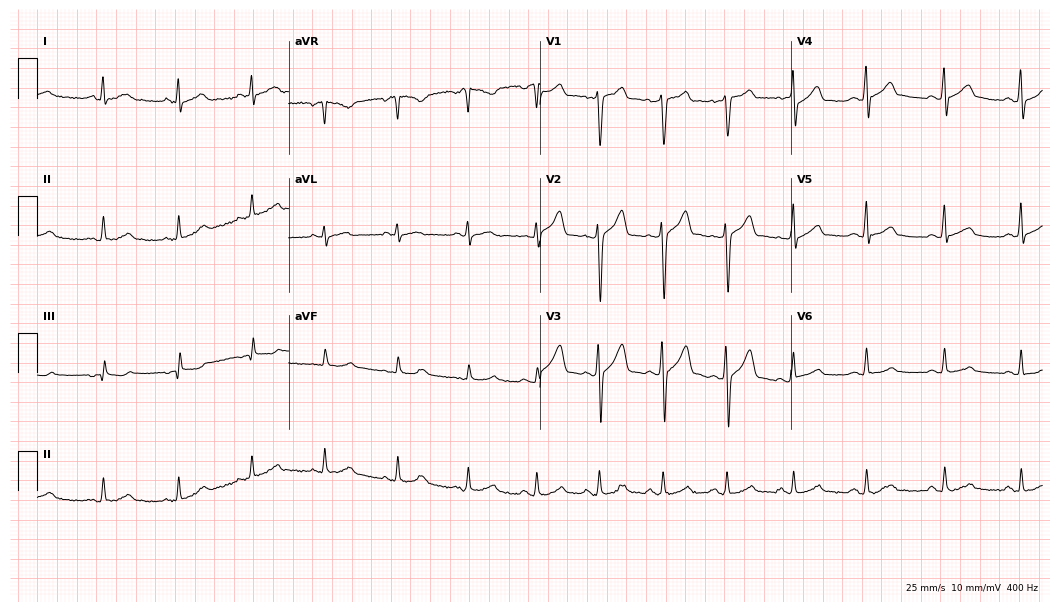
12-lead ECG from a 37-year-old male (10.2-second recording at 400 Hz). Recorded interpretation: within normal limits.